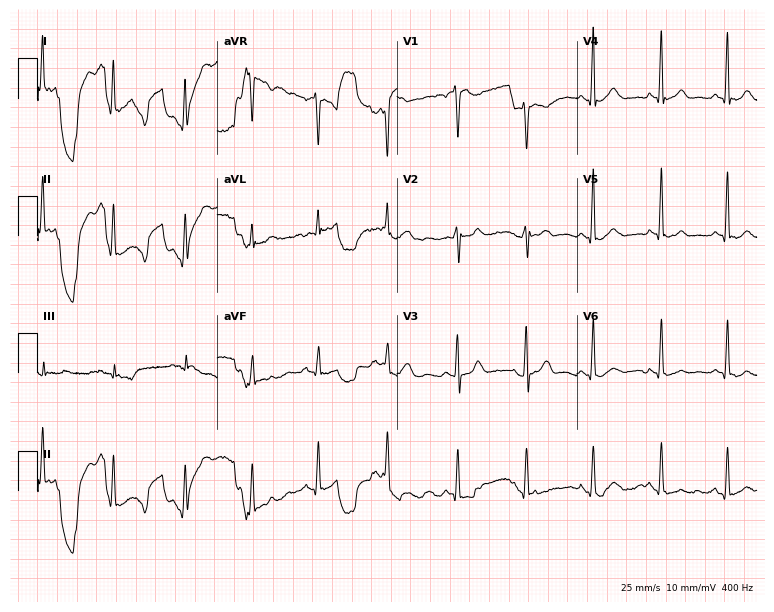
Electrocardiogram, a 21-year-old male patient. Of the six screened findings (first-degree AV block, right bundle branch block, left bundle branch block, sinus bradycardia, atrial fibrillation, sinus tachycardia), none is recorded. Other findings, if any, are not listed.